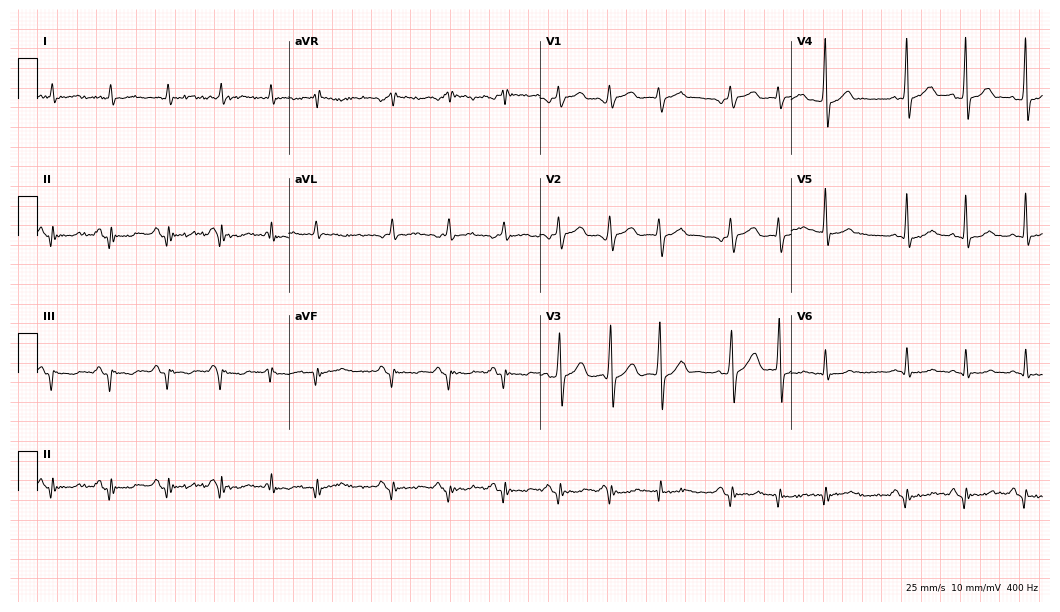
12-lead ECG from a male, 52 years old. Findings include atrial fibrillation.